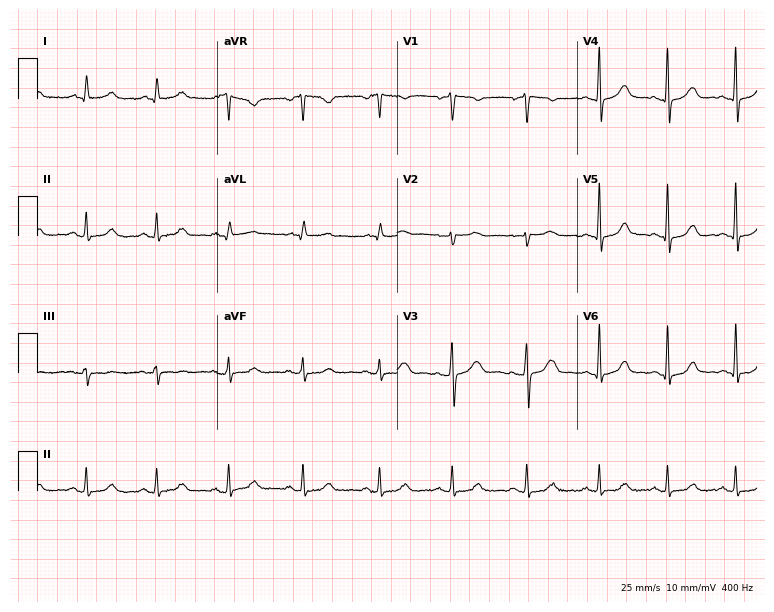
12-lead ECG from a woman, 47 years old (7.3-second recording at 400 Hz). Recorded interpretation: within normal limits.